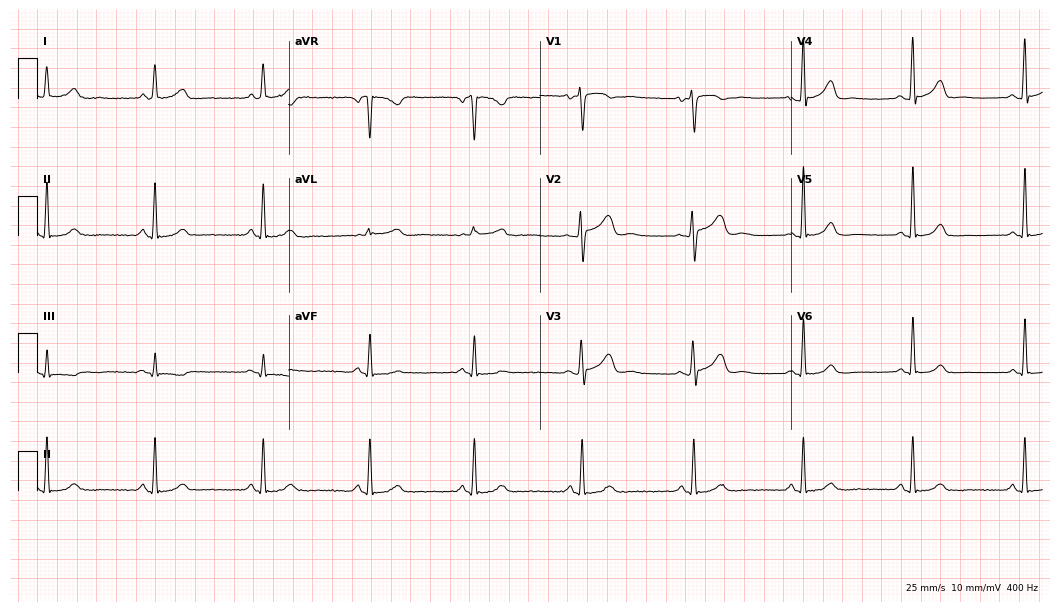
12-lead ECG from a 57-year-old female patient. Labelled as a normal ECG.